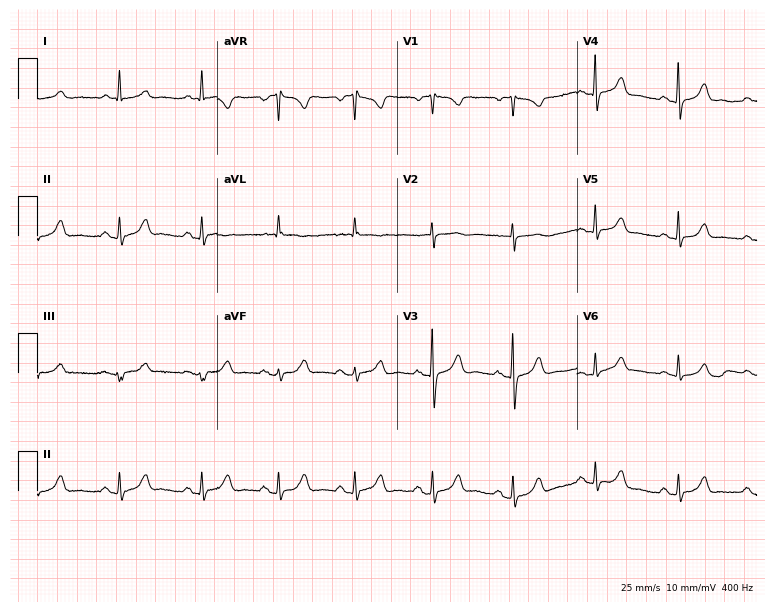
12-lead ECG from a woman, 75 years old. Recorded interpretation: within normal limits.